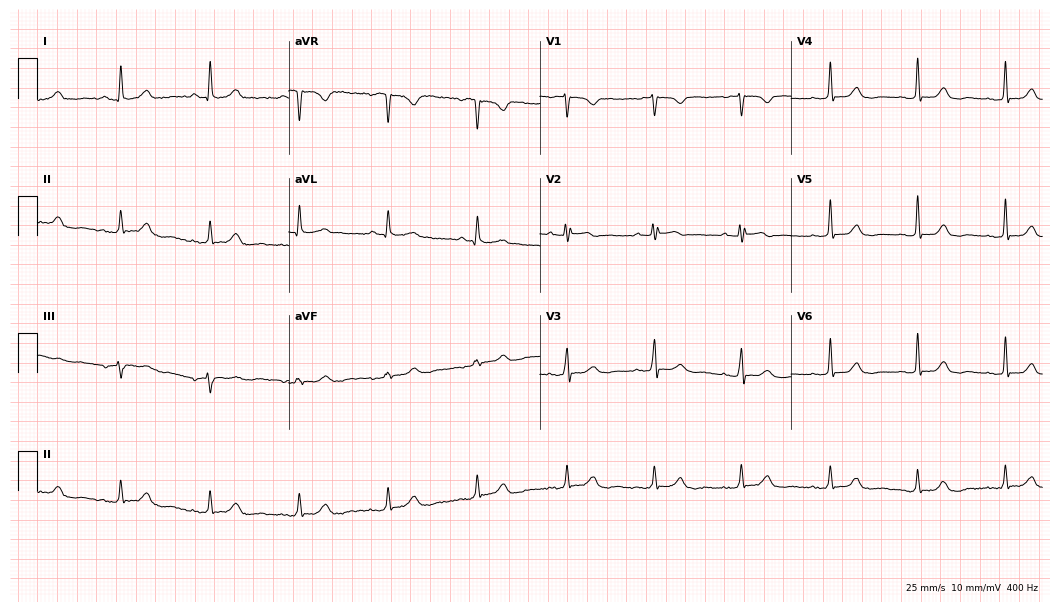
12-lead ECG (10.2-second recording at 400 Hz) from a woman, 72 years old. Labelled as a normal ECG.